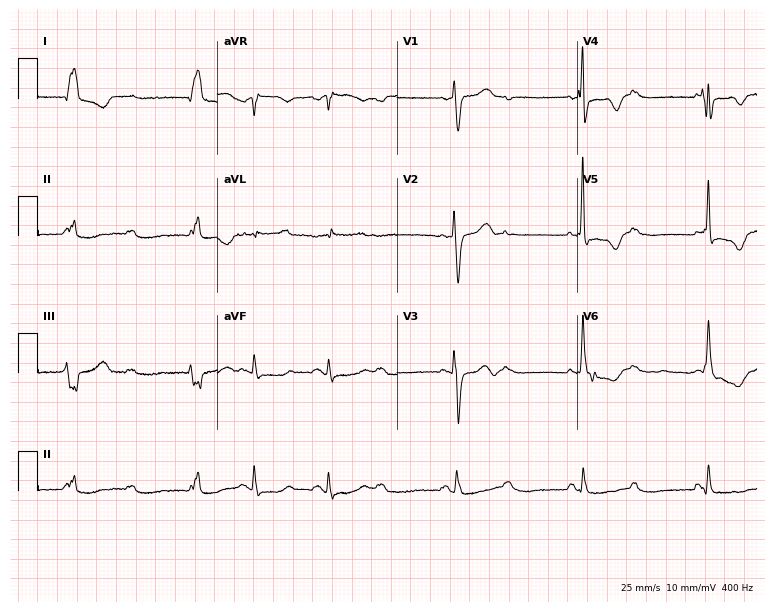
Electrocardiogram, an 86-year-old female. Of the six screened findings (first-degree AV block, right bundle branch block, left bundle branch block, sinus bradycardia, atrial fibrillation, sinus tachycardia), none is recorded. Findings outside these six are not listed.